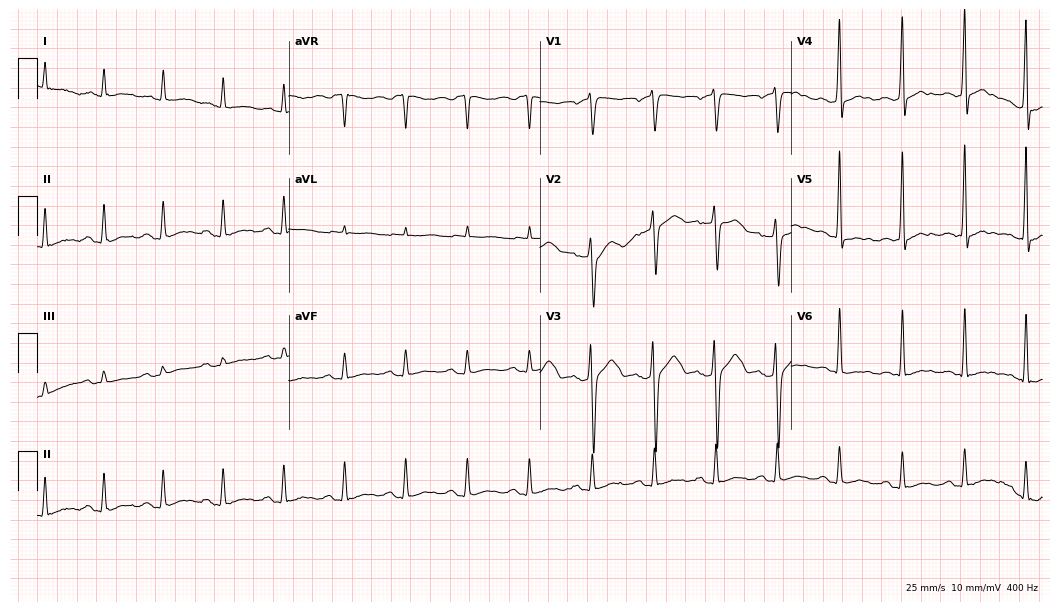
ECG (10.2-second recording at 400 Hz) — a 33-year-old male patient. Screened for six findings — first-degree AV block, right bundle branch block (RBBB), left bundle branch block (LBBB), sinus bradycardia, atrial fibrillation (AF), sinus tachycardia — none is recorded. Findings outside these six are not listed.